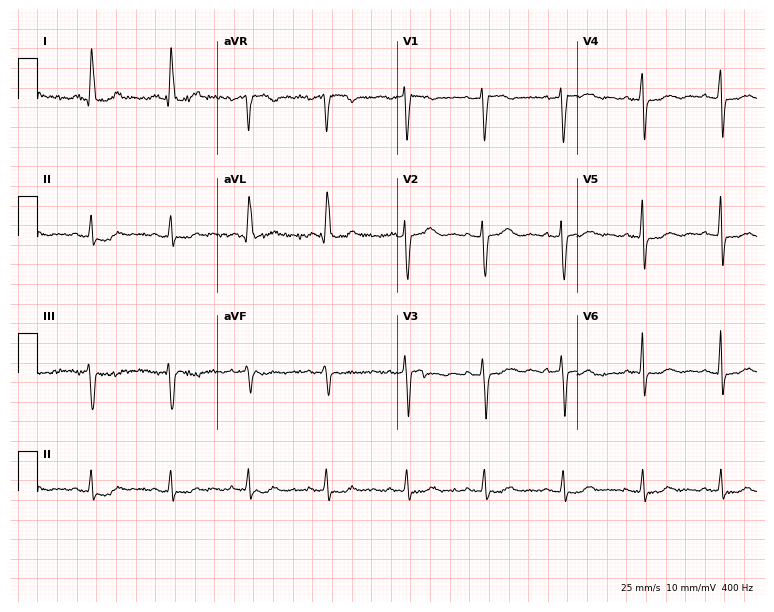
Electrocardiogram (7.3-second recording at 400 Hz), a 66-year-old female. Of the six screened findings (first-degree AV block, right bundle branch block (RBBB), left bundle branch block (LBBB), sinus bradycardia, atrial fibrillation (AF), sinus tachycardia), none is recorded. Other findings, if any, are not listed.